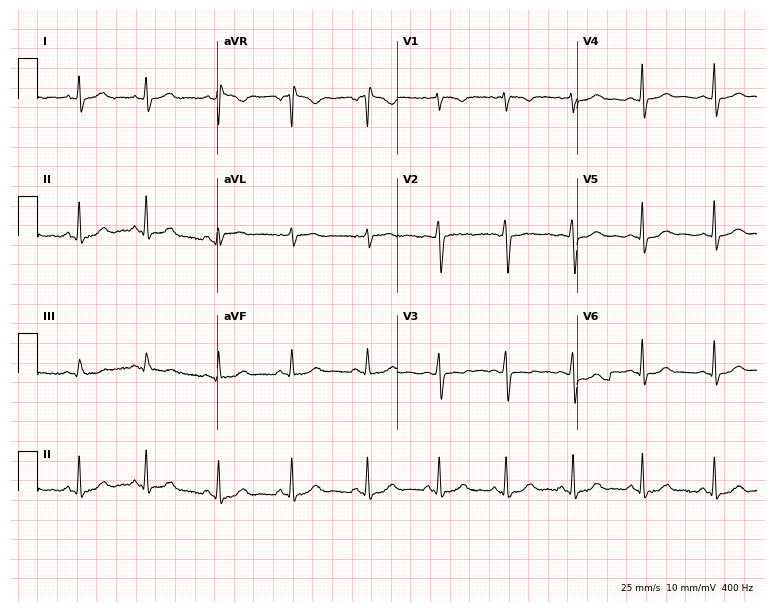
Resting 12-lead electrocardiogram. Patient: a 38-year-old woman. None of these six findings is recorded: first-degree AV block, right bundle branch block, left bundle branch block, sinus bradycardia, atrial fibrillation, sinus tachycardia. Only these six findings were labelled.